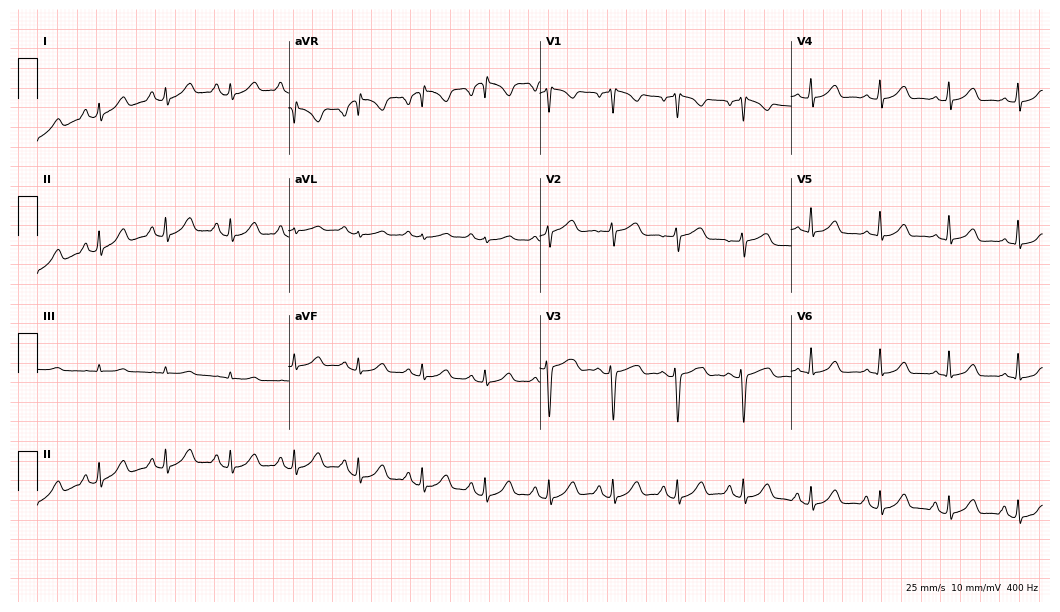
ECG (10.2-second recording at 400 Hz) — a woman, 39 years old. Screened for six findings — first-degree AV block, right bundle branch block (RBBB), left bundle branch block (LBBB), sinus bradycardia, atrial fibrillation (AF), sinus tachycardia — none is recorded.